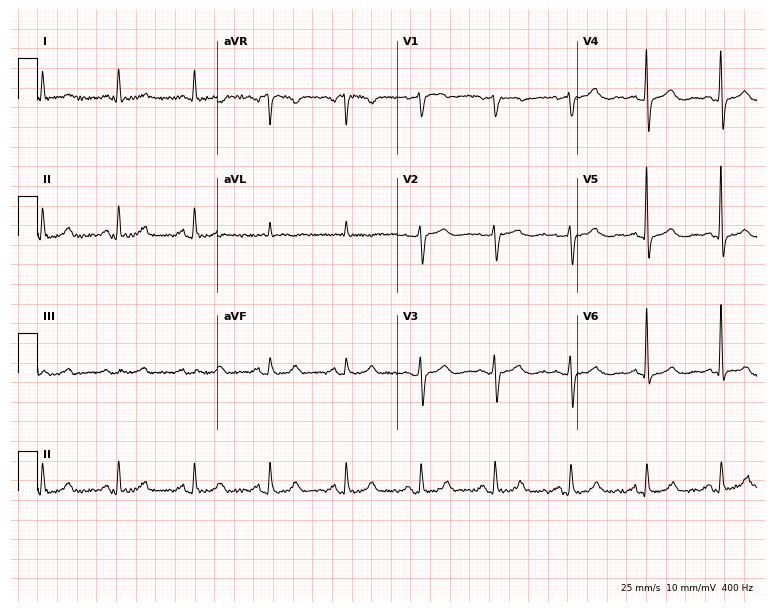
ECG (7.3-second recording at 400 Hz) — a female, 81 years old. Screened for six findings — first-degree AV block, right bundle branch block, left bundle branch block, sinus bradycardia, atrial fibrillation, sinus tachycardia — none is recorded.